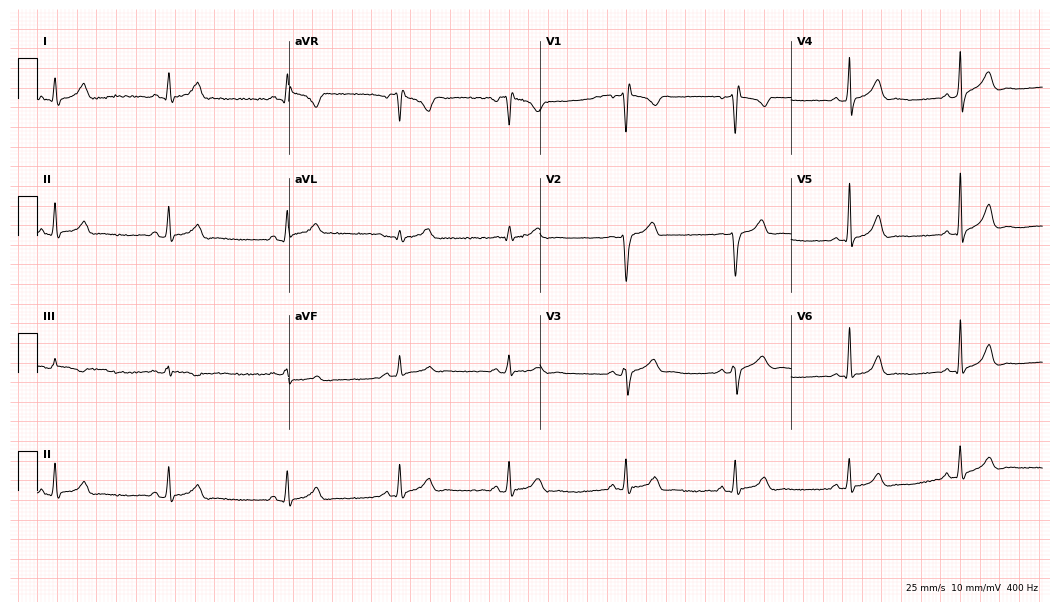
12-lead ECG from a man, 35 years old. Screened for six findings — first-degree AV block, right bundle branch block, left bundle branch block, sinus bradycardia, atrial fibrillation, sinus tachycardia — none is recorded.